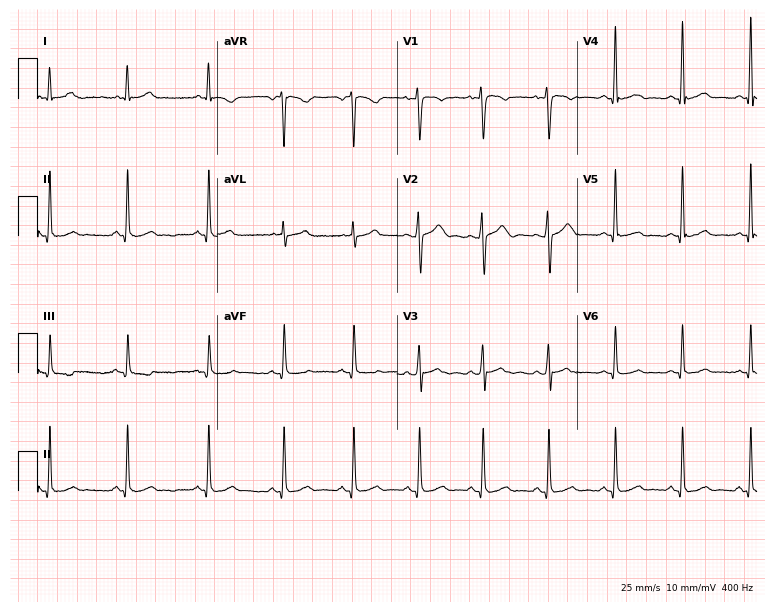
Electrocardiogram, a 38-year-old man. Of the six screened findings (first-degree AV block, right bundle branch block (RBBB), left bundle branch block (LBBB), sinus bradycardia, atrial fibrillation (AF), sinus tachycardia), none is recorded.